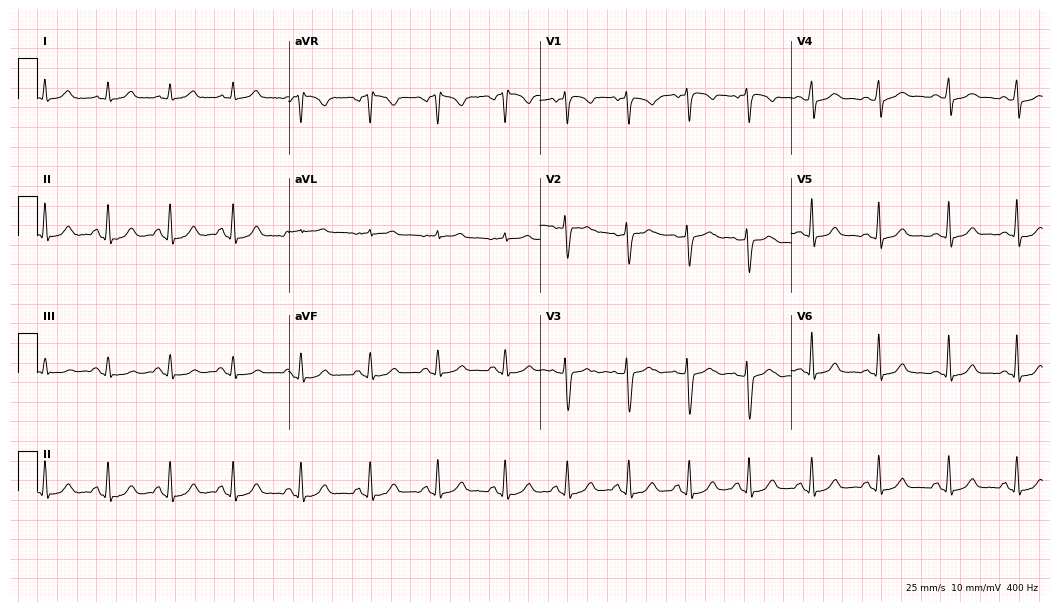
ECG — a female patient, 38 years old. Labelled as a normal ECG.